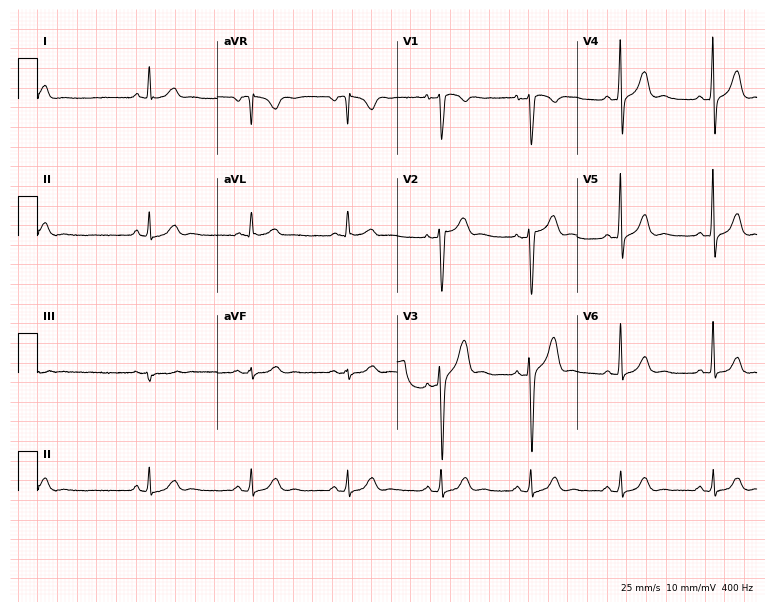
Electrocardiogram, a 58-year-old man. Of the six screened findings (first-degree AV block, right bundle branch block, left bundle branch block, sinus bradycardia, atrial fibrillation, sinus tachycardia), none is recorded. Only these six findings were labelled.